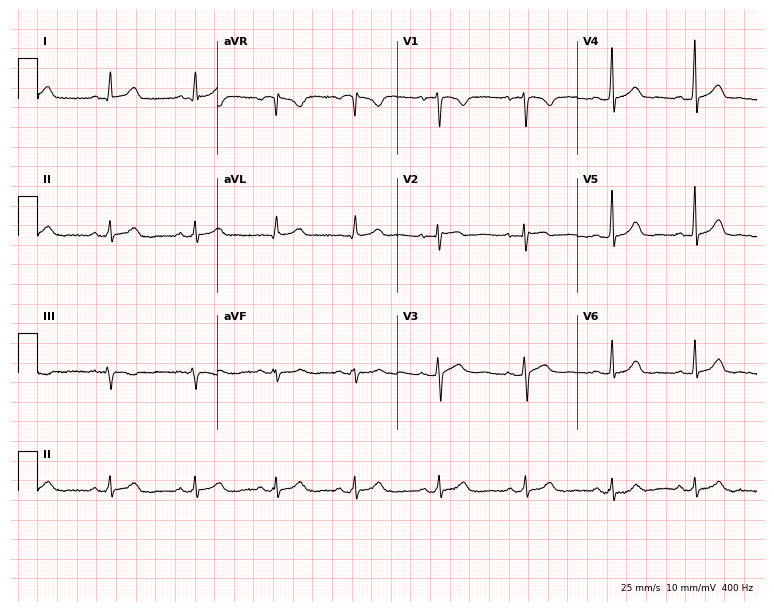
ECG — a 21-year-old female patient. Labelled as a normal ECG.